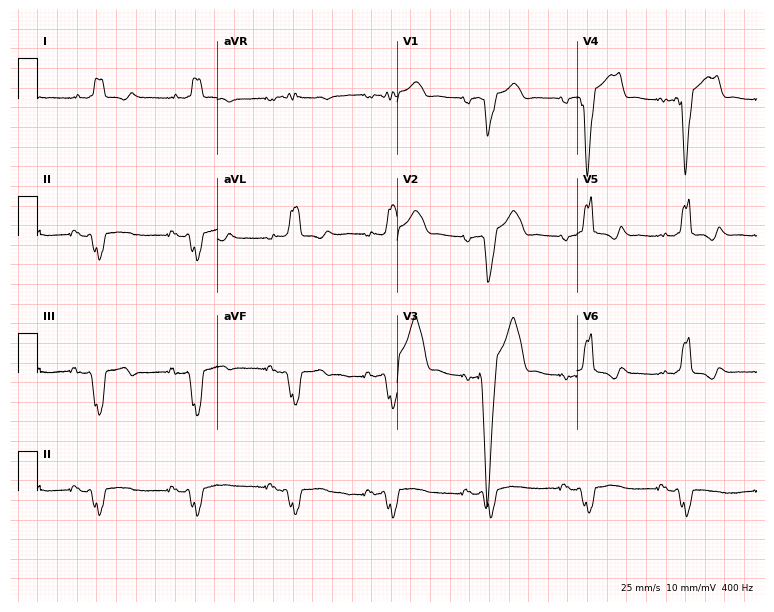
Standard 12-lead ECG recorded from an 86-year-old male patient (7.3-second recording at 400 Hz). None of these six findings is recorded: first-degree AV block, right bundle branch block, left bundle branch block, sinus bradycardia, atrial fibrillation, sinus tachycardia.